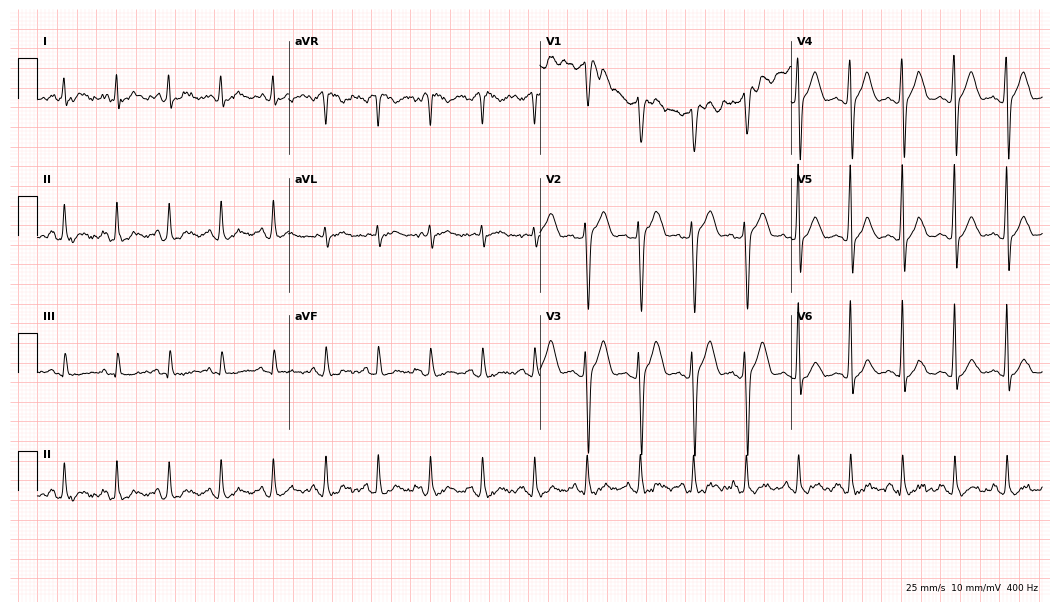
Resting 12-lead electrocardiogram. Patient: a male, 45 years old. The tracing shows sinus tachycardia (a sinus rate of 100 beats per minute or more).